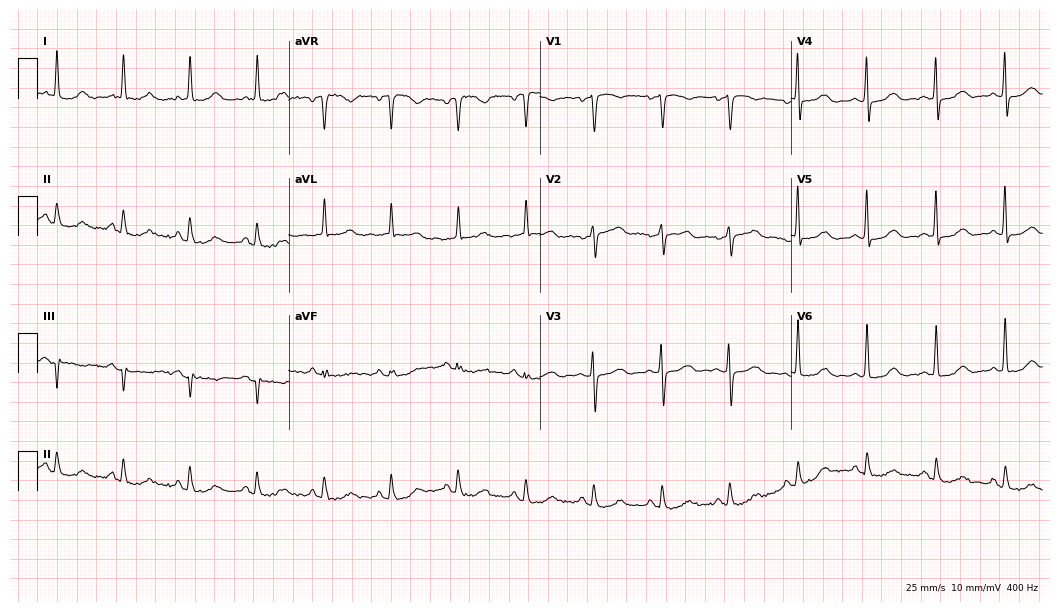
ECG — a female patient, 69 years old. Labelled as a normal ECG.